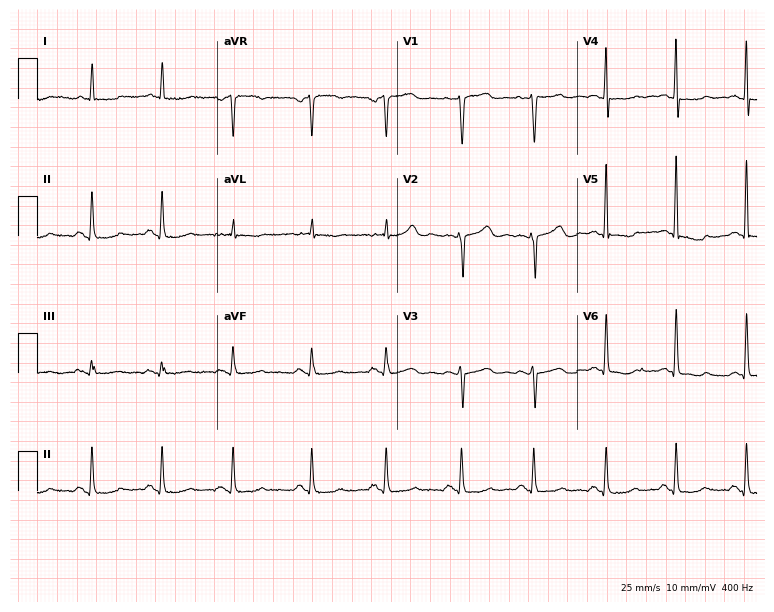
12-lead ECG (7.3-second recording at 400 Hz) from a woman, 64 years old. Screened for six findings — first-degree AV block, right bundle branch block, left bundle branch block, sinus bradycardia, atrial fibrillation, sinus tachycardia — none is recorded.